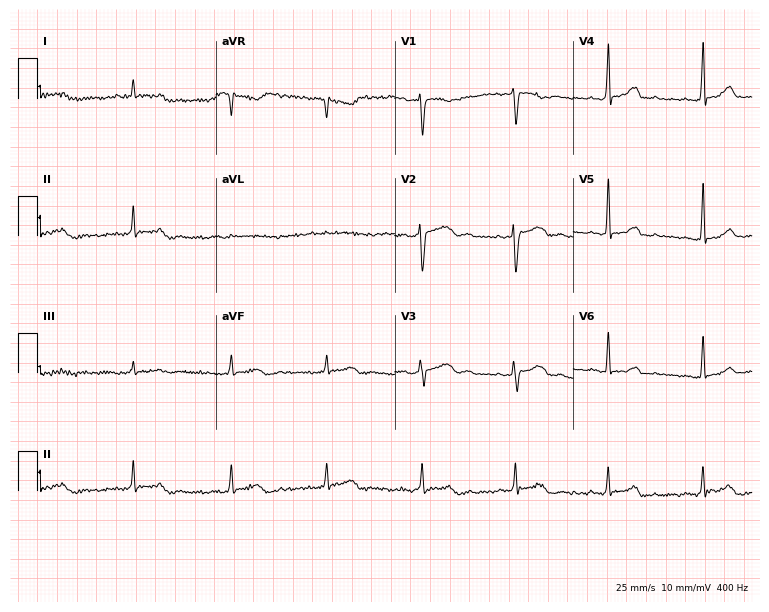
12-lead ECG (7.3-second recording at 400 Hz) from a 40-year-old female. Screened for six findings — first-degree AV block, right bundle branch block, left bundle branch block, sinus bradycardia, atrial fibrillation, sinus tachycardia — none is recorded. Only these six findings were labelled.